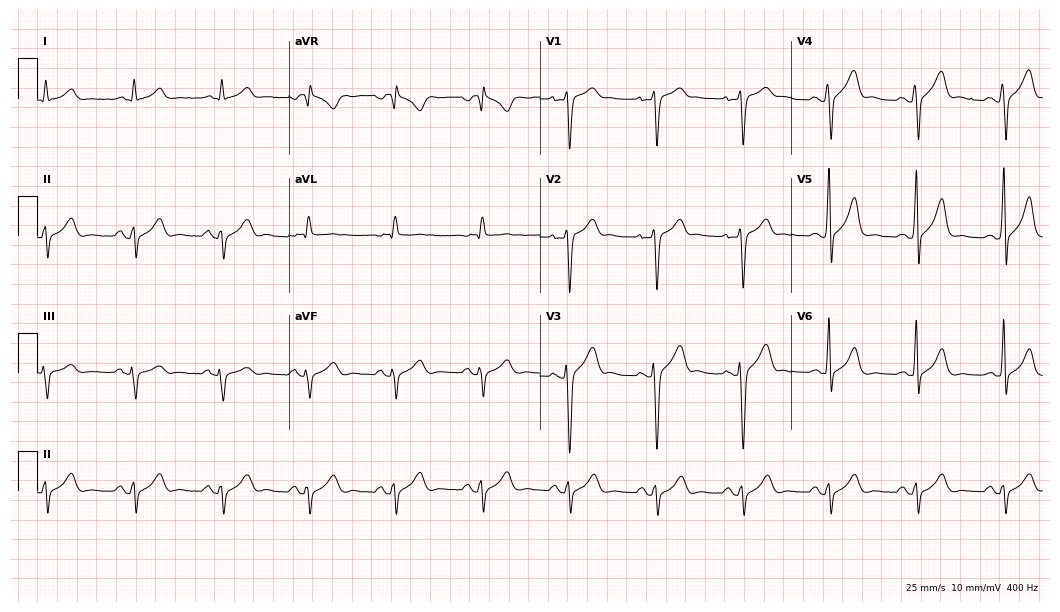
12-lead ECG (10.2-second recording at 400 Hz) from a male patient, 49 years old. Screened for six findings — first-degree AV block, right bundle branch block (RBBB), left bundle branch block (LBBB), sinus bradycardia, atrial fibrillation (AF), sinus tachycardia — none is recorded. Findings outside these six are not listed.